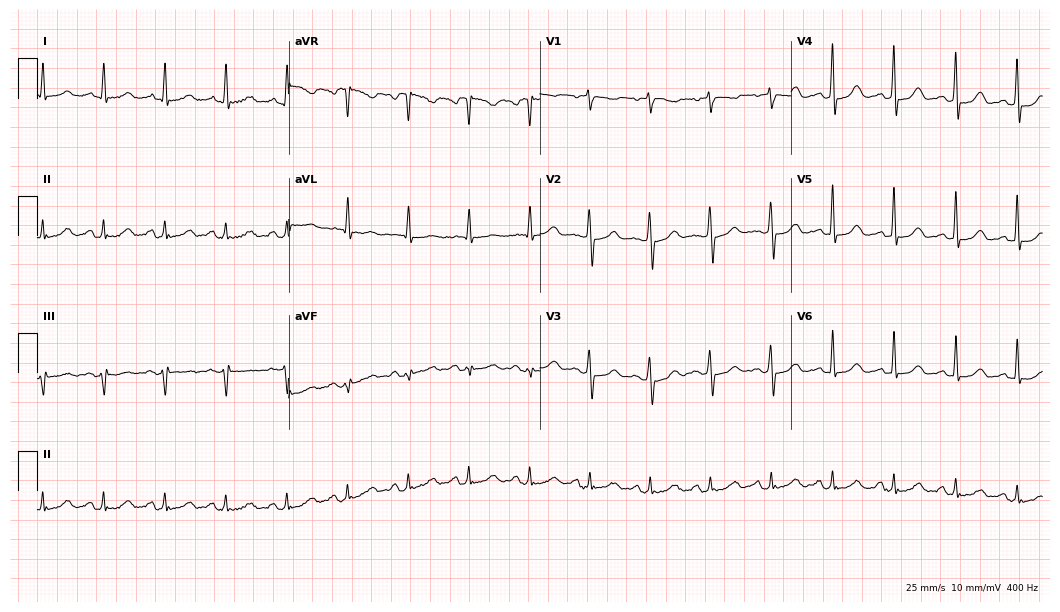
Standard 12-lead ECG recorded from a 54-year-old woman (10.2-second recording at 400 Hz). None of these six findings is recorded: first-degree AV block, right bundle branch block, left bundle branch block, sinus bradycardia, atrial fibrillation, sinus tachycardia. Other findings, if any, are not listed.